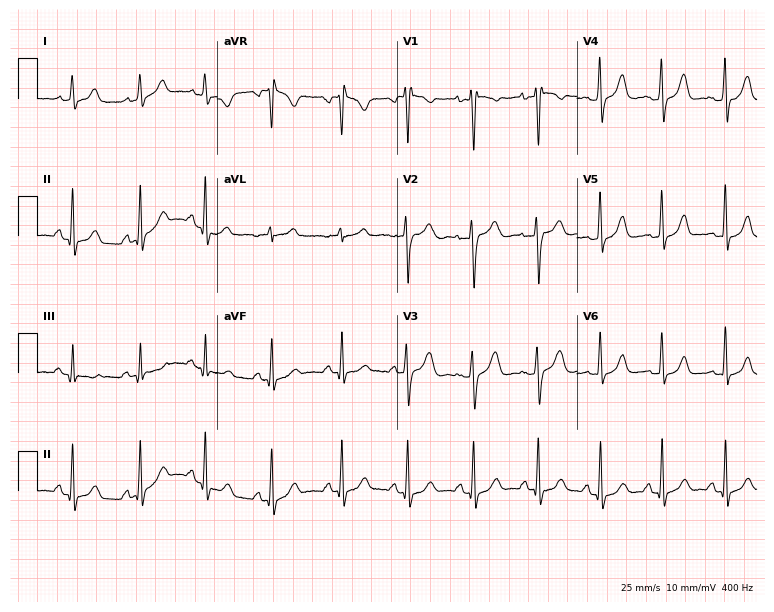
12-lead ECG from a 29-year-old female (7.3-second recording at 400 Hz). No first-degree AV block, right bundle branch block, left bundle branch block, sinus bradycardia, atrial fibrillation or sinus tachycardia recorded for this tracing.